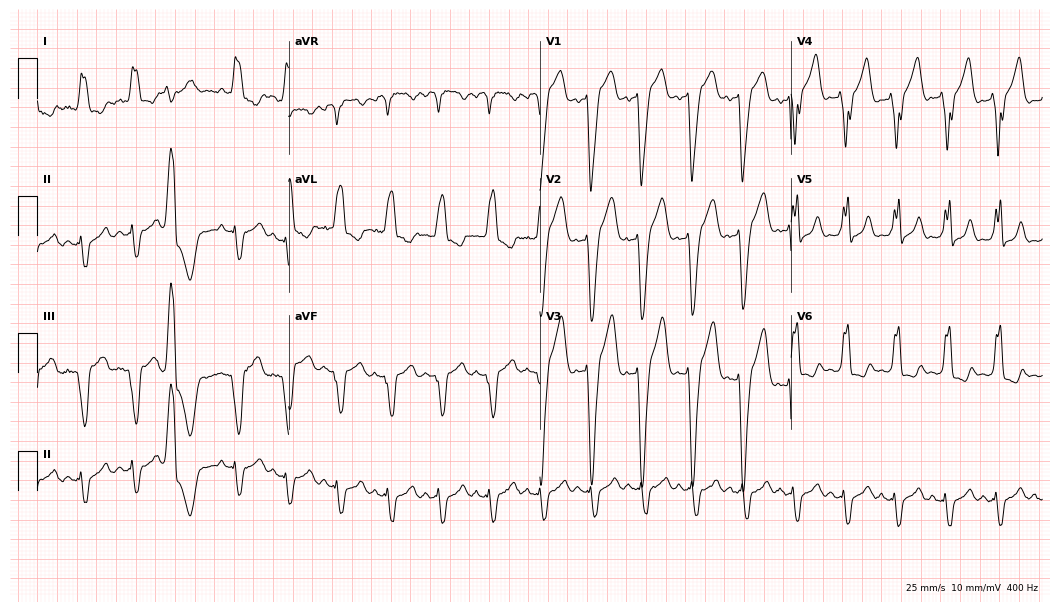
Resting 12-lead electrocardiogram. Patient: a male, 77 years old. The tracing shows left bundle branch block (LBBB), sinus tachycardia (a sinus rate of 100 beats per minute or more).